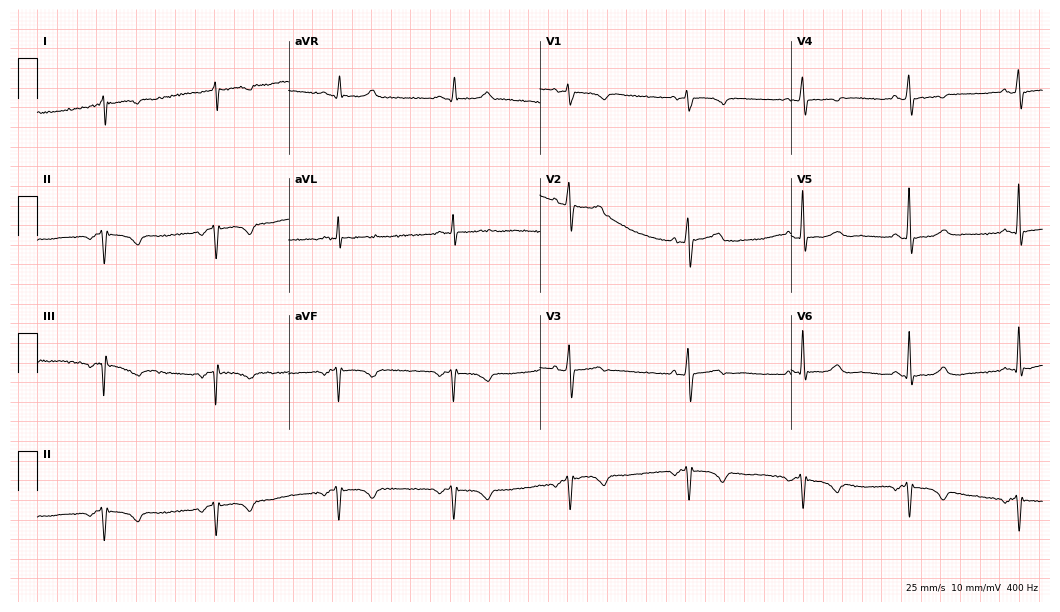
12-lead ECG from a woman, 57 years old. No first-degree AV block, right bundle branch block, left bundle branch block, sinus bradycardia, atrial fibrillation or sinus tachycardia recorded for this tracing.